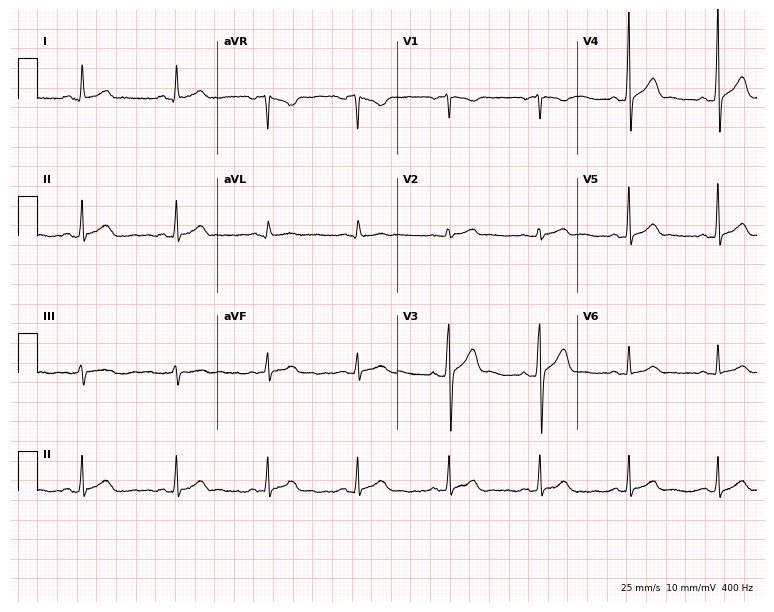
Electrocardiogram (7.3-second recording at 400 Hz), a male patient, 35 years old. Overall reading on record: normal ECG.